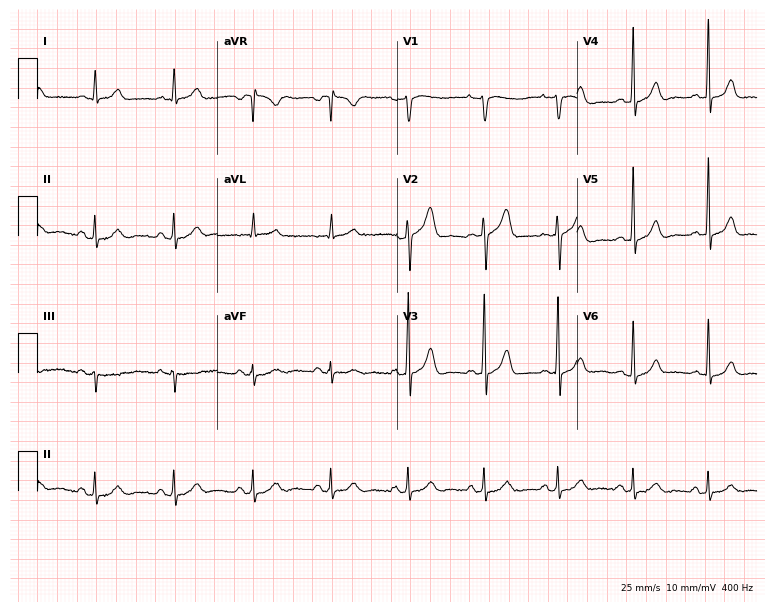
Standard 12-lead ECG recorded from a 65-year-old male patient. None of these six findings is recorded: first-degree AV block, right bundle branch block, left bundle branch block, sinus bradycardia, atrial fibrillation, sinus tachycardia. Findings outside these six are not listed.